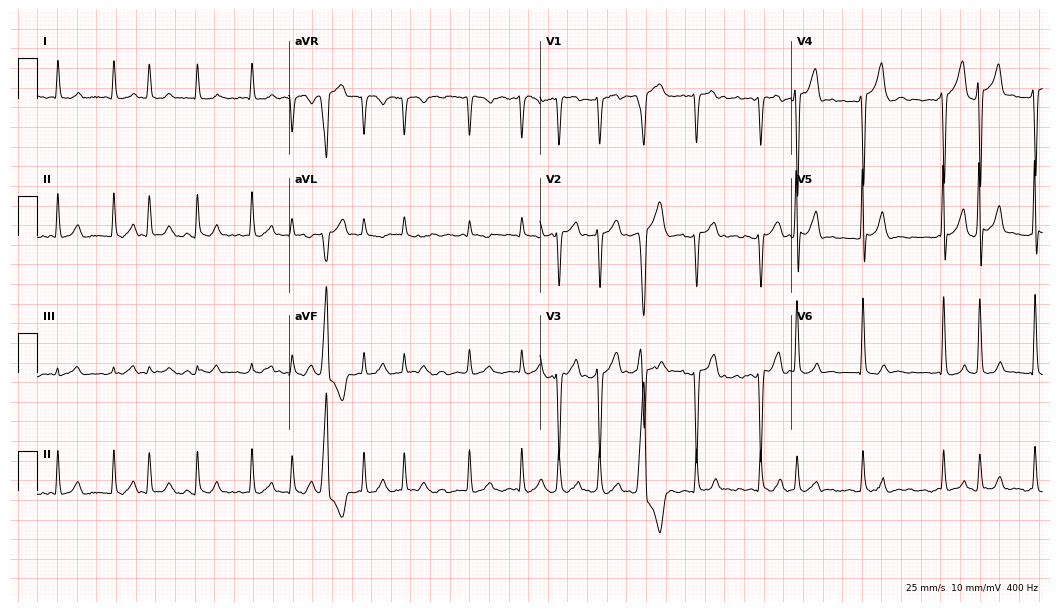
Standard 12-lead ECG recorded from a man, 79 years old. The tracing shows atrial fibrillation (AF), sinus tachycardia (a sinus rate of 100 beats per minute or more).